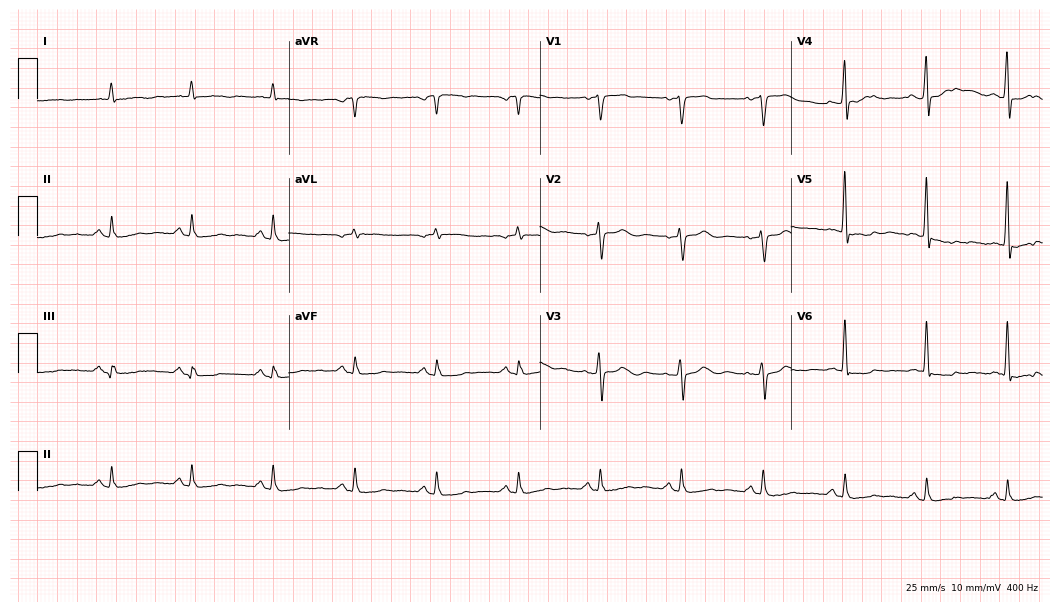
Standard 12-lead ECG recorded from a 75-year-old man (10.2-second recording at 400 Hz). None of these six findings is recorded: first-degree AV block, right bundle branch block, left bundle branch block, sinus bradycardia, atrial fibrillation, sinus tachycardia. Other findings, if any, are not listed.